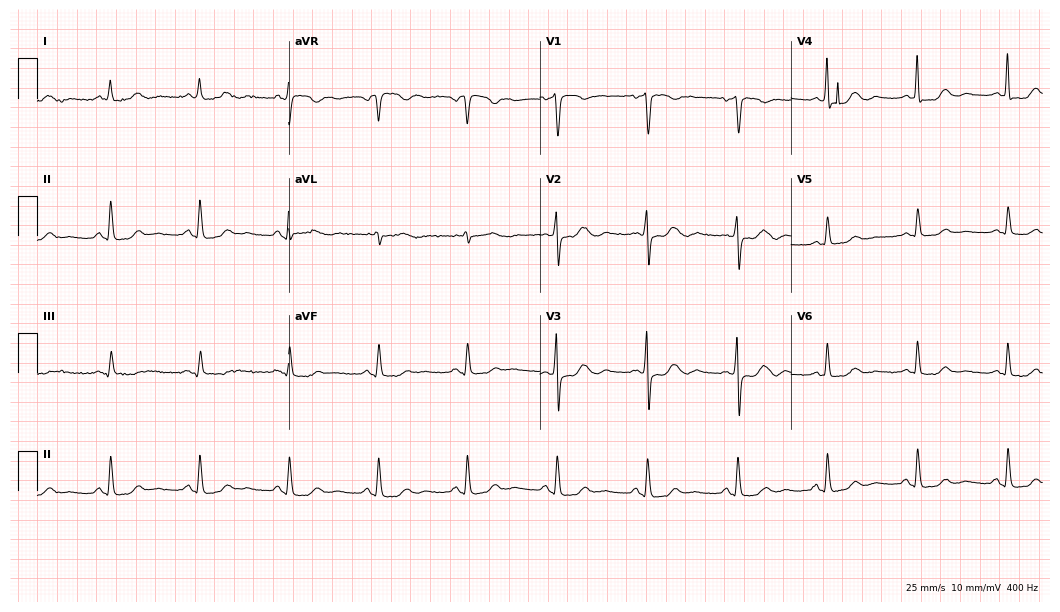
ECG (10.2-second recording at 400 Hz) — a 49-year-old female patient. Screened for six findings — first-degree AV block, right bundle branch block (RBBB), left bundle branch block (LBBB), sinus bradycardia, atrial fibrillation (AF), sinus tachycardia — none is recorded.